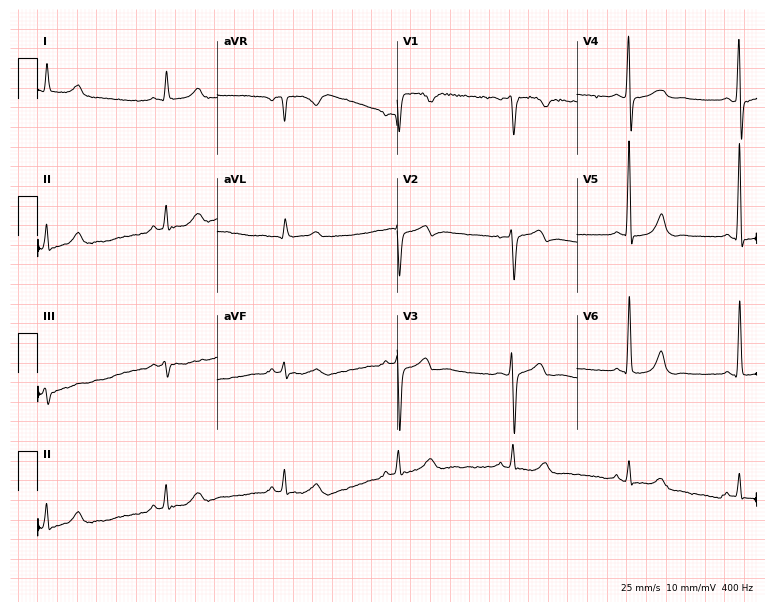
Resting 12-lead electrocardiogram. Patient: a 57-year-old male. None of these six findings is recorded: first-degree AV block, right bundle branch block, left bundle branch block, sinus bradycardia, atrial fibrillation, sinus tachycardia. Findings outside these six are not listed.